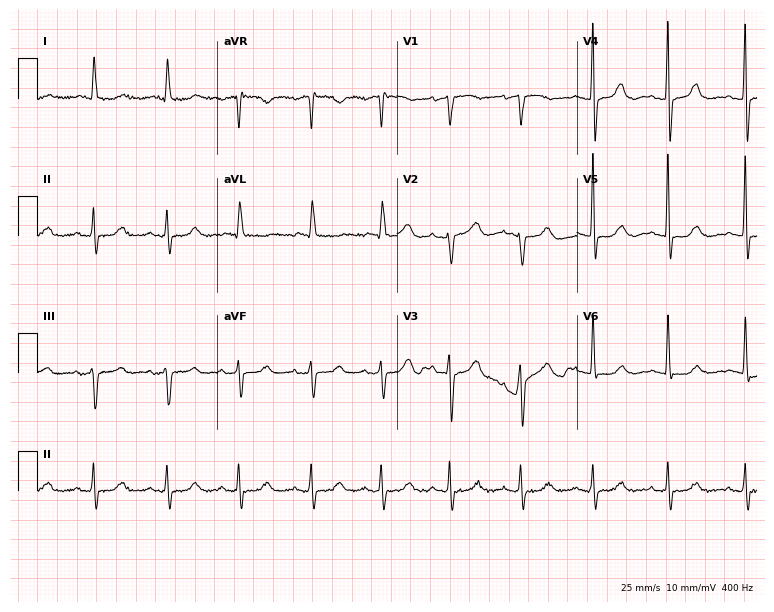
ECG — a 79-year-old female patient. Labelled as a normal ECG.